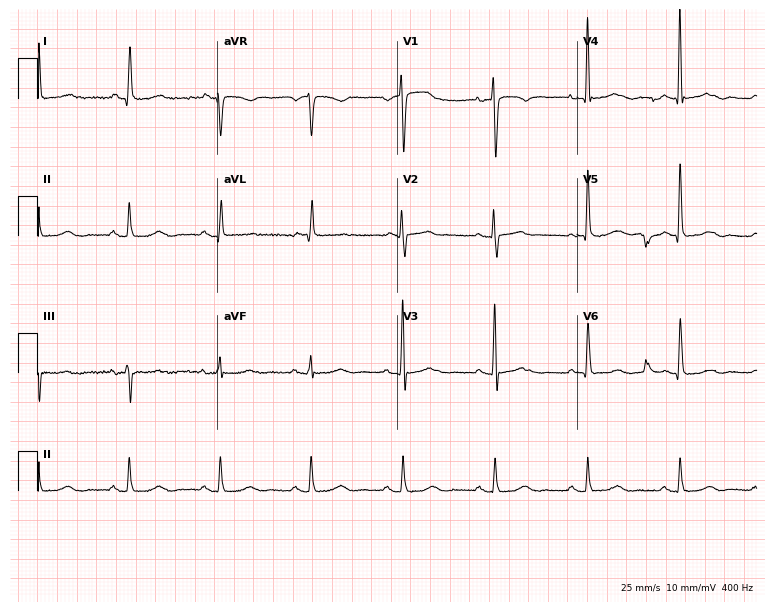
Resting 12-lead electrocardiogram. Patient: a 62-year-old female. None of these six findings is recorded: first-degree AV block, right bundle branch block, left bundle branch block, sinus bradycardia, atrial fibrillation, sinus tachycardia.